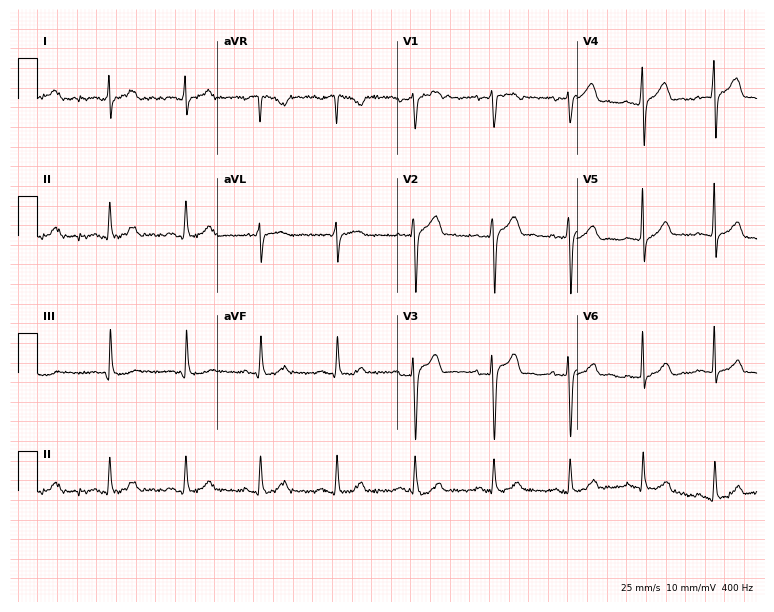
Standard 12-lead ECG recorded from a 31-year-old man. None of these six findings is recorded: first-degree AV block, right bundle branch block (RBBB), left bundle branch block (LBBB), sinus bradycardia, atrial fibrillation (AF), sinus tachycardia. Only these six findings were labelled.